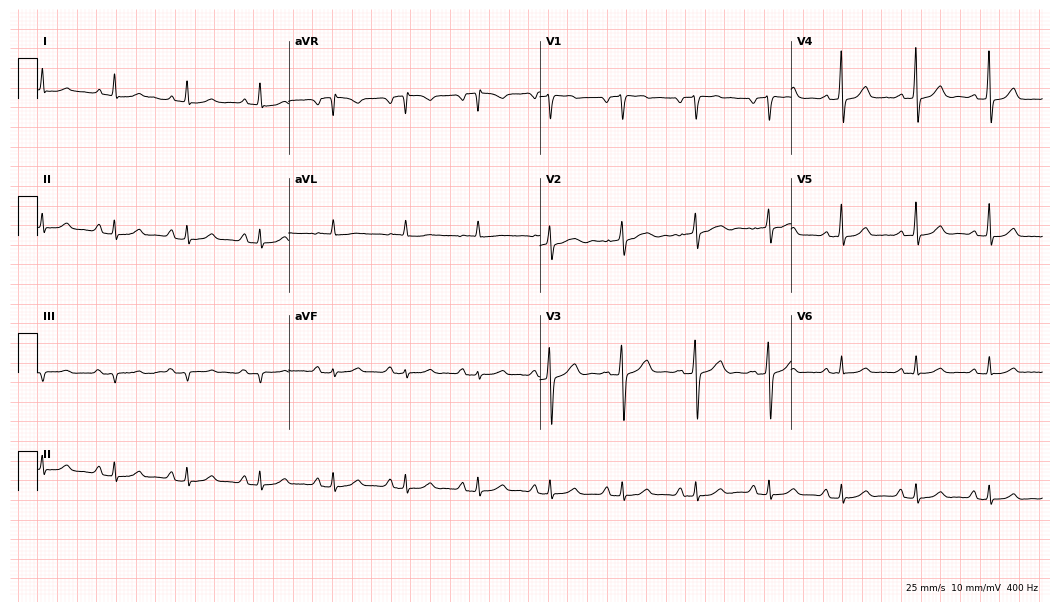
Standard 12-lead ECG recorded from a 67-year-old male. Read as a normal ECG.